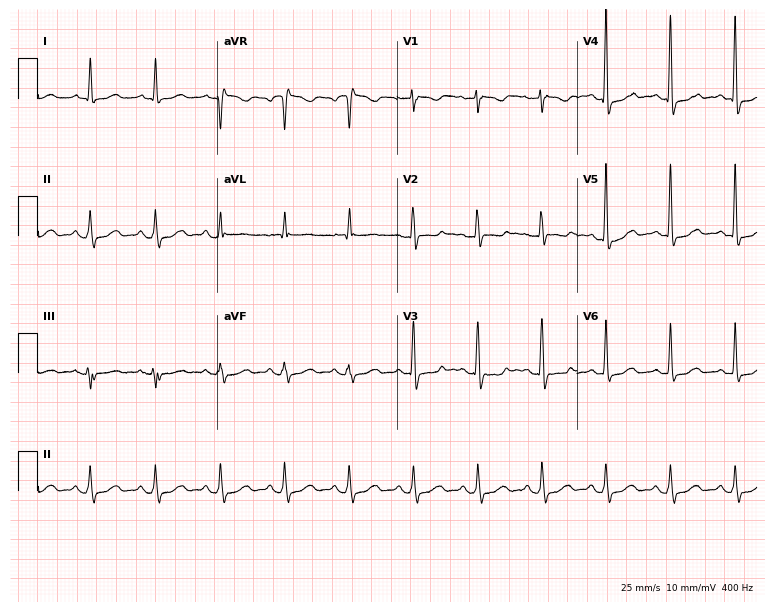
ECG (7.3-second recording at 400 Hz) — a 71-year-old female patient. Screened for six findings — first-degree AV block, right bundle branch block, left bundle branch block, sinus bradycardia, atrial fibrillation, sinus tachycardia — none is recorded. Other findings, if any, are not listed.